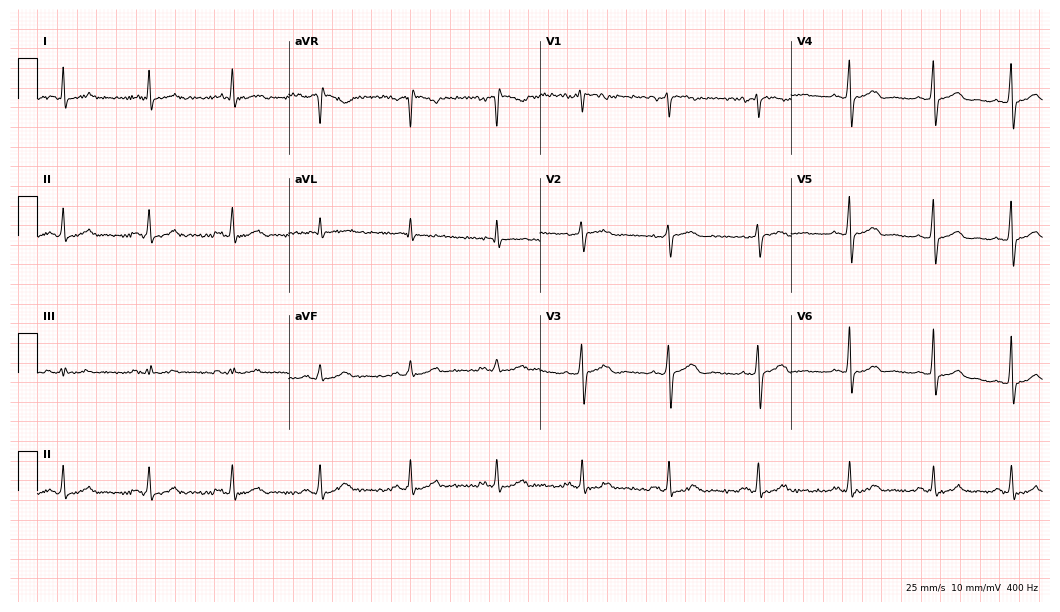
12-lead ECG from a 66-year-old male. Labelled as a normal ECG.